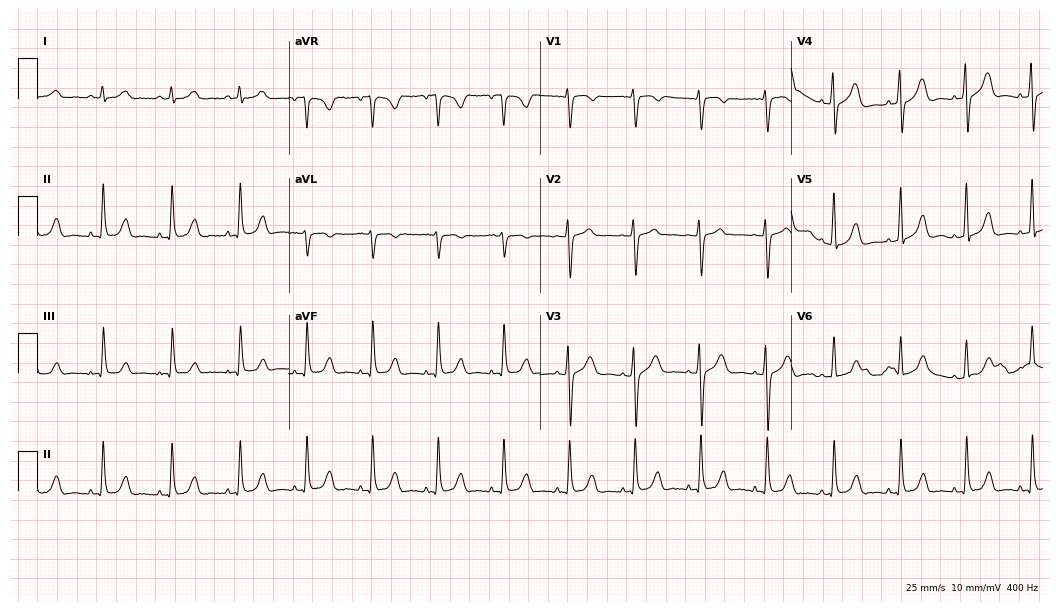
ECG — a female, 43 years old. Labelled as a normal ECG.